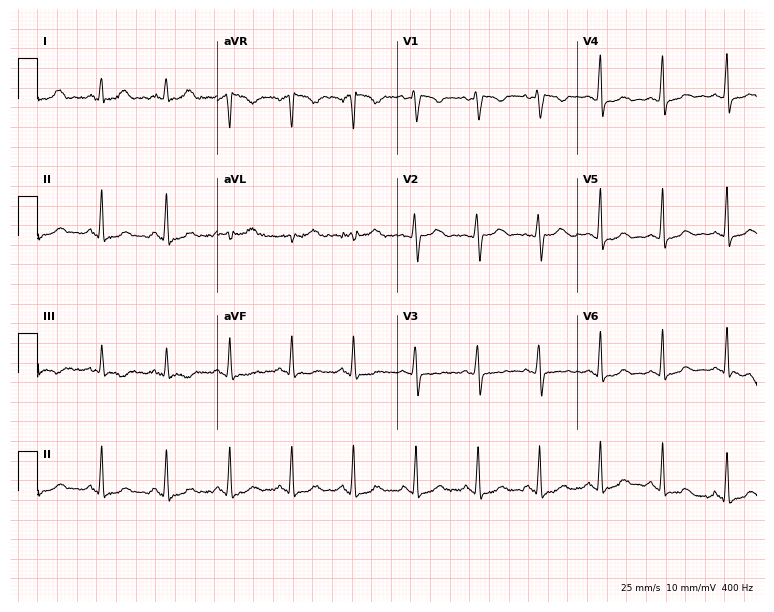
12-lead ECG from a woman, 47 years old (7.3-second recording at 400 Hz). Recorded interpretation: within normal limits.